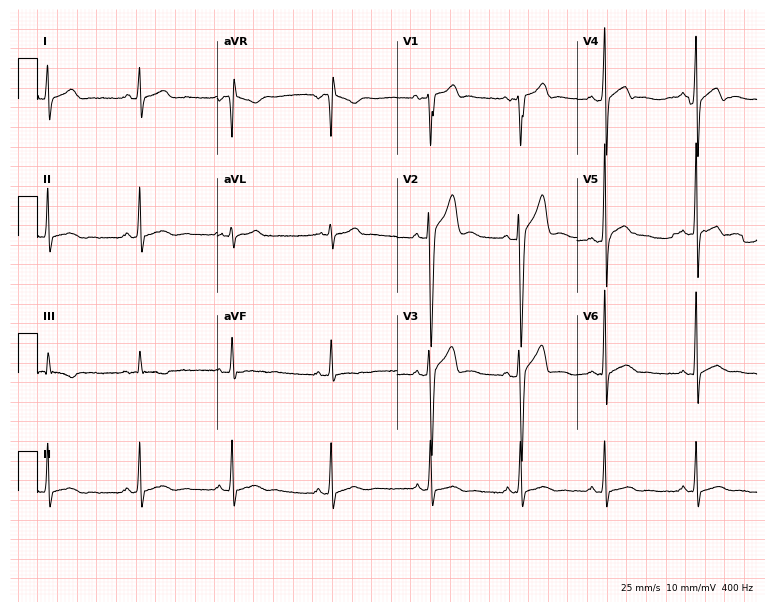
12-lead ECG from a male patient, 27 years old (7.3-second recording at 400 Hz). Recorded interpretation: within normal limits.